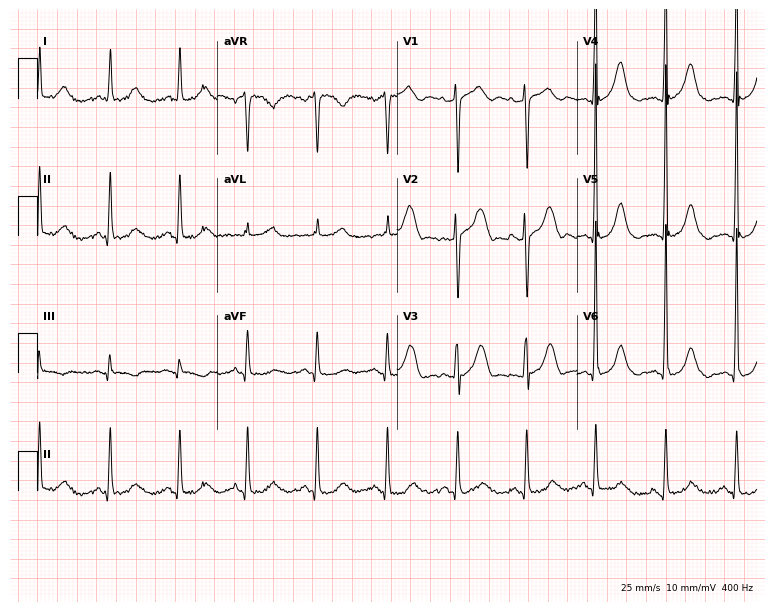
12-lead ECG from a 79-year-old woman. Screened for six findings — first-degree AV block, right bundle branch block, left bundle branch block, sinus bradycardia, atrial fibrillation, sinus tachycardia — none is recorded. Other findings, if any, are not listed.